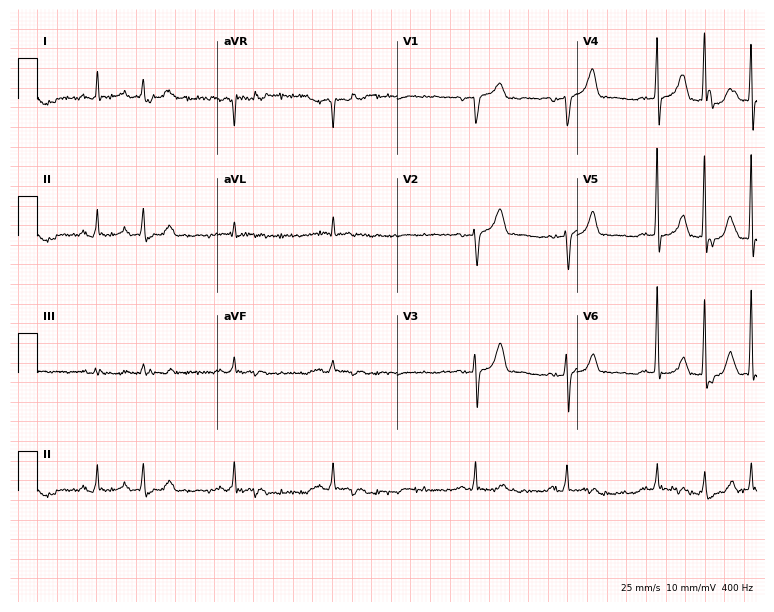
12-lead ECG (7.3-second recording at 400 Hz) from an 80-year-old male. Screened for six findings — first-degree AV block, right bundle branch block (RBBB), left bundle branch block (LBBB), sinus bradycardia, atrial fibrillation (AF), sinus tachycardia — none is recorded. Other findings, if any, are not listed.